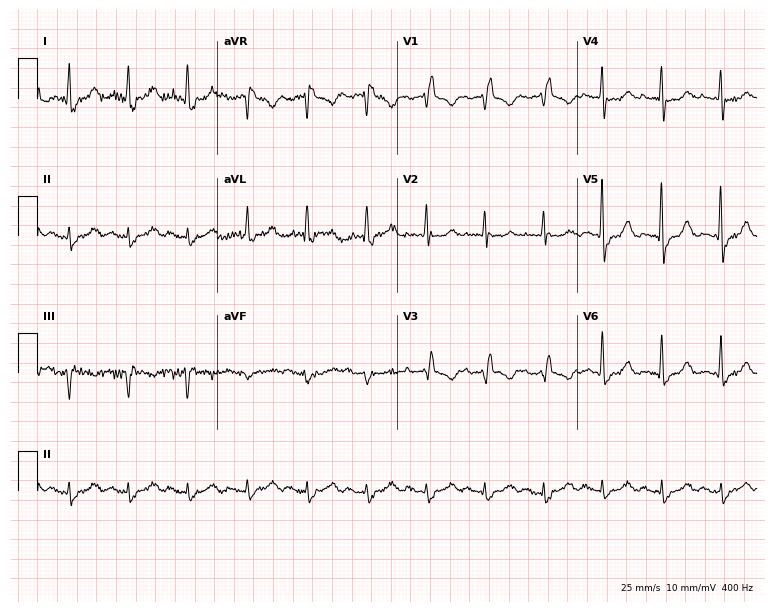
Electrocardiogram (7.3-second recording at 400 Hz), a 79-year-old female patient. Interpretation includes right bundle branch block.